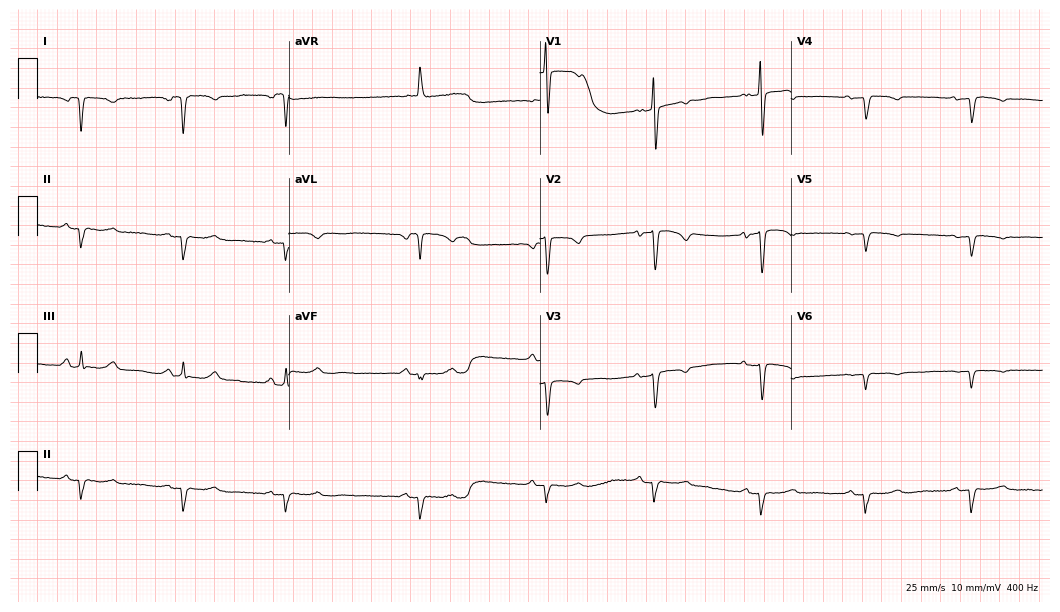
ECG (10.2-second recording at 400 Hz) — a 78-year-old female. Screened for six findings — first-degree AV block, right bundle branch block, left bundle branch block, sinus bradycardia, atrial fibrillation, sinus tachycardia — none is recorded.